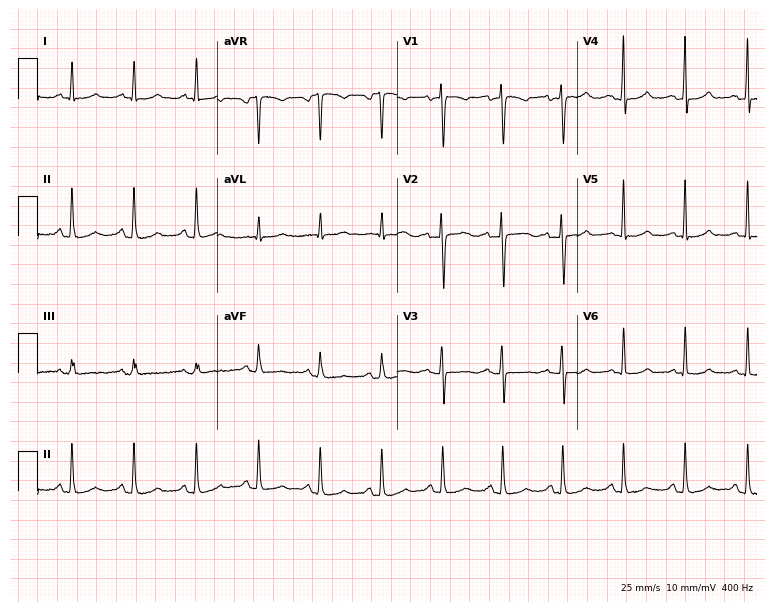
12-lead ECG (7.3-second recording at 400 Hz) from a 52-year-old woman. Labelled as a normal ECG.